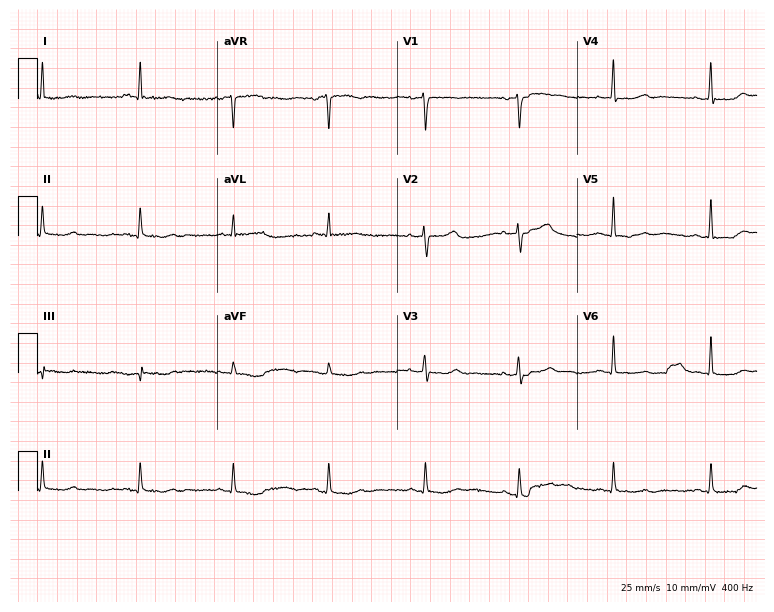
ECG (7.3-second recording at 400 Hz) — a female patient, 50 years old. Screened for six findings — first-degree AV block, right bundle branch block, left bundle branch block, sinus bradycardia, atrial fibrillation, sinus tachycardia — none is recorded. Other findings, if any, are not listed.